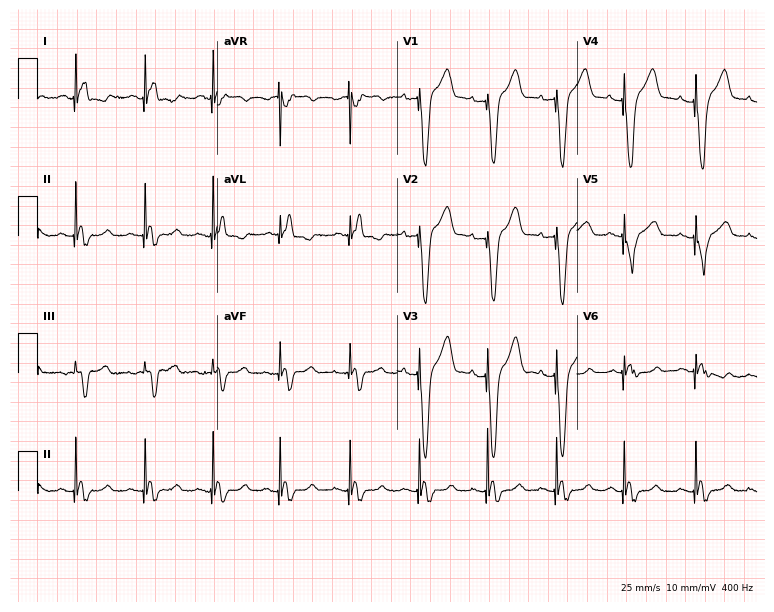
Resting 12-lead electrocardiogram (7.3-second recording at 400 Hz). Patient: a 76-year-old female. None of these six findings is recorded: first-degree AV block, right bundle branch block, left bundle branch block, sinus bradycardia, atrial fibrillation, sinus tachycardia.